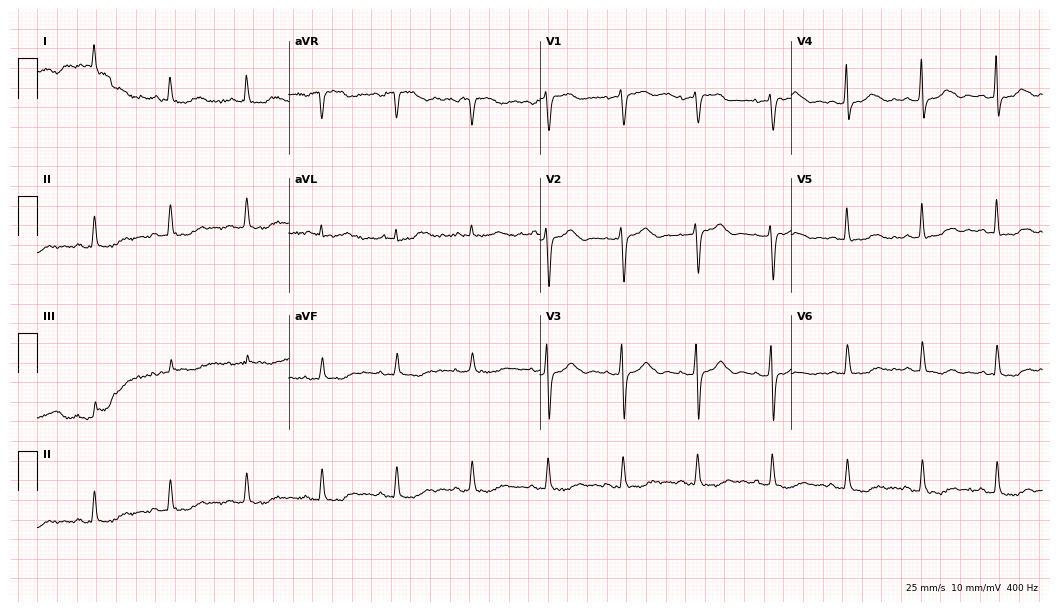
12-lead ECG from a female, 68 years old. Labelled as a normal ECG.